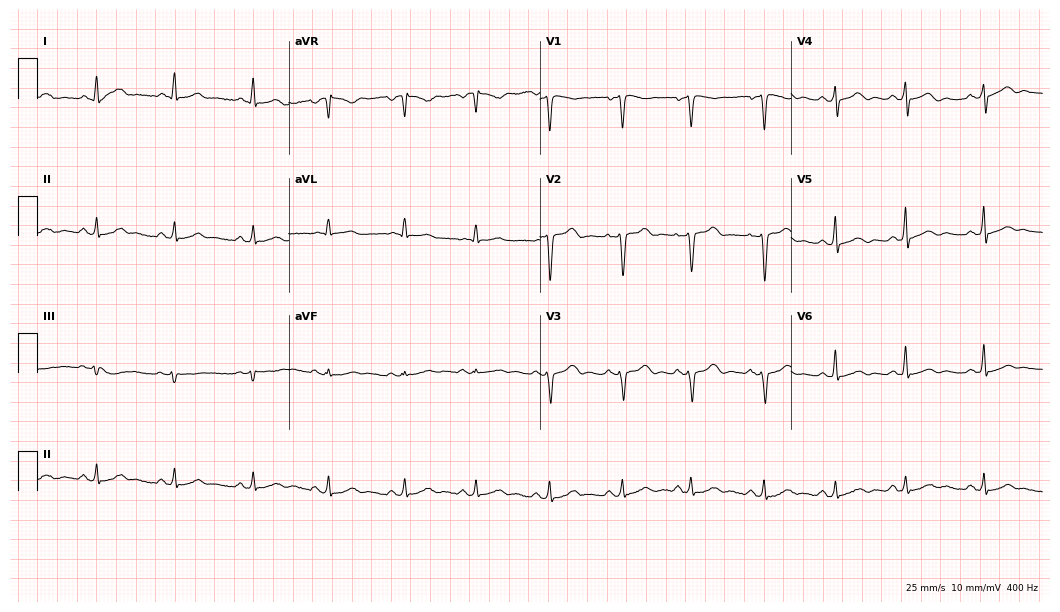
Resting 12-lead electrocardiogram. Patient: a man, 40 years old. None of these six findings is recorded: first-degree AV block, right bundle branch block, left bundle branch block, sinus bradycardia, atrial fibrillation, sinus tachycardia. Other findings, if any, are not listed.